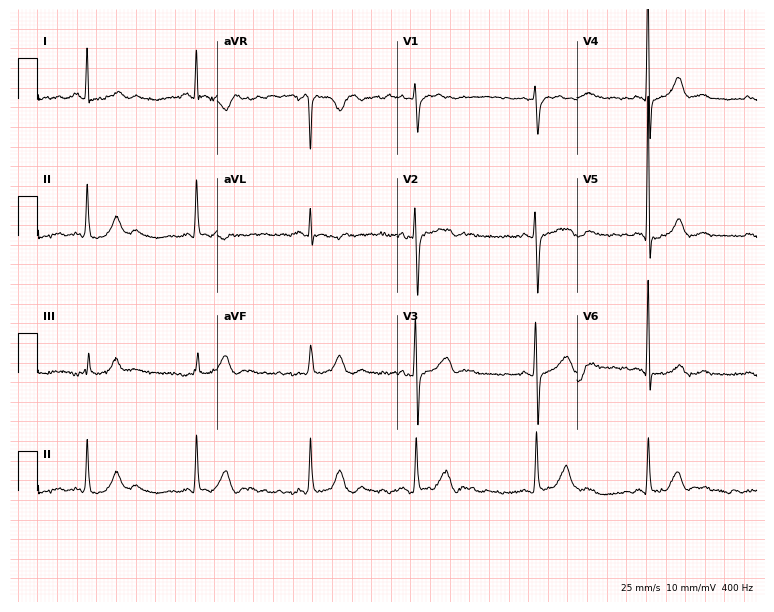
12-lead ECG from a 62-year-old female patient. No first-degree AV block, right bundle branch block, left bundle branch block, sinus bradycardia, atrial fibrillation or sinus tachycardia recorded for this tracing.